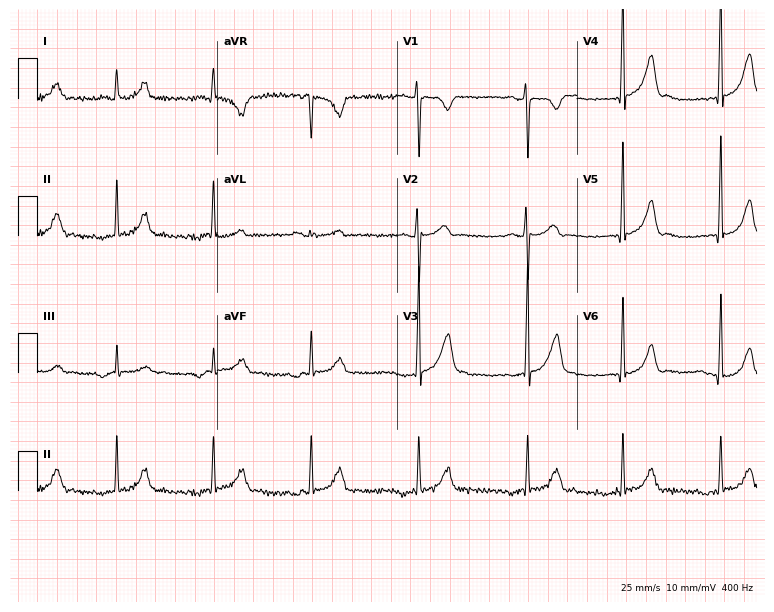
12-lead ECG from a man, 33 years old. Recorded interpretation: within normal limits.